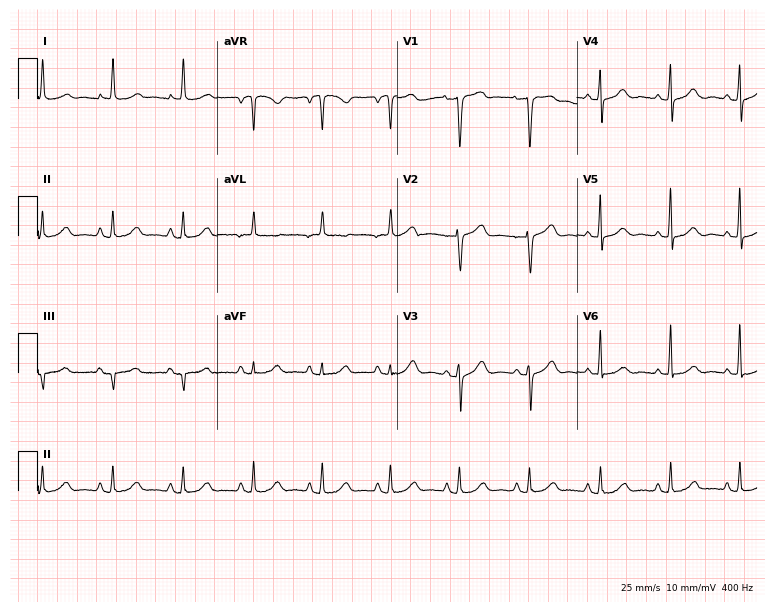
Standard 12-lead ECG recorded from a woman, 79 years old (7.3-second recording at 400 Hz). Read as a normal ECG.